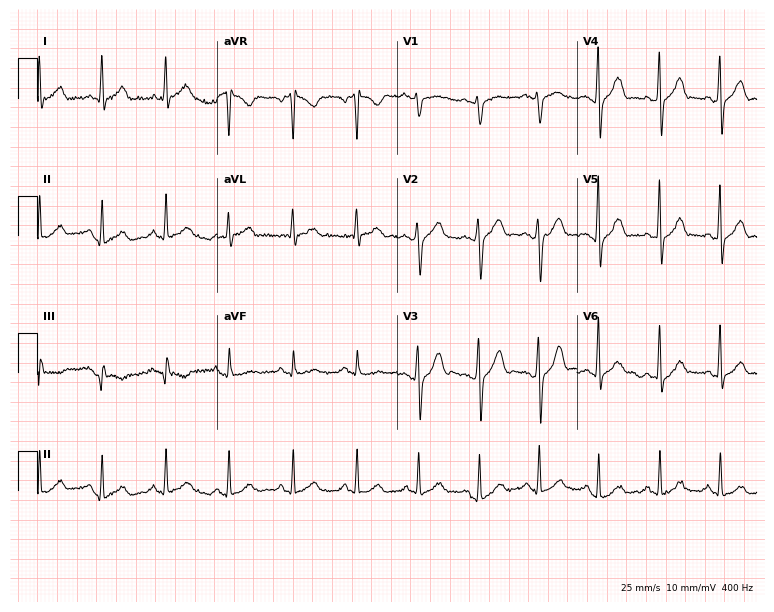
12-lead ECG (7.3-second recording at 400 Hz) from a 35-year-old male patient. Labelled as a normal ECG.